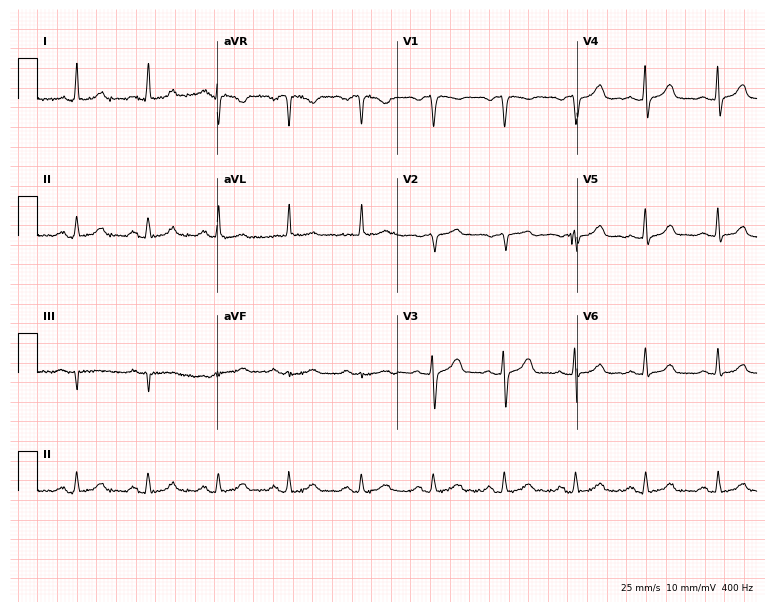
ECG — a 58-year-old woman. Labelled as a normal ECG.